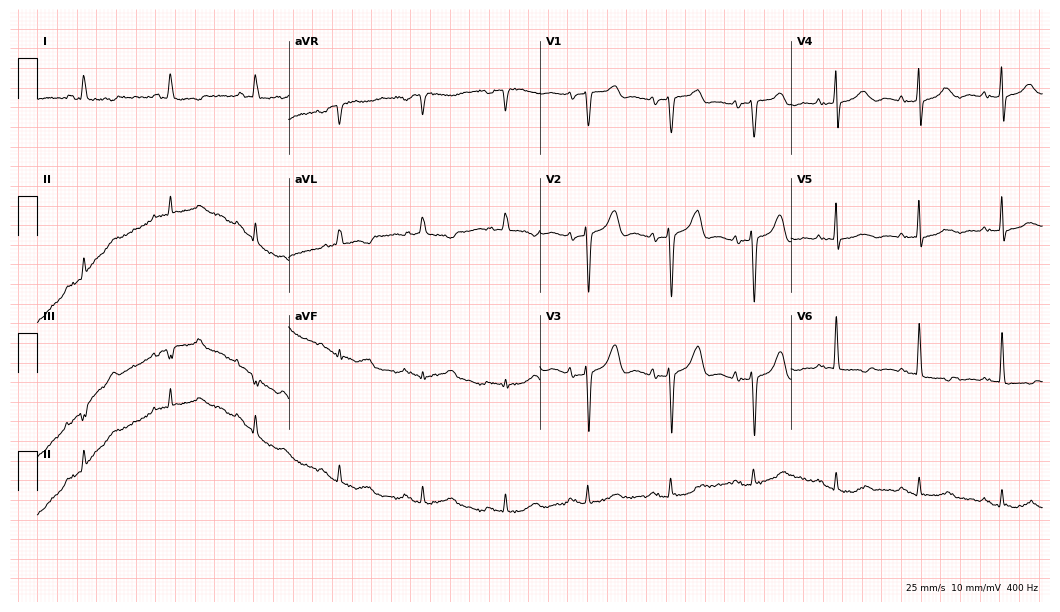
12-lead ECG from a woman, 83 years old (10.2-second recording at 400 Hz). No first-degree AV block, right bundle branch block, left bundle branch block, sinus bradycardia, atrial fibrillation or sinus tachycardia recorded for this tracing. Only these six findings were labelled.